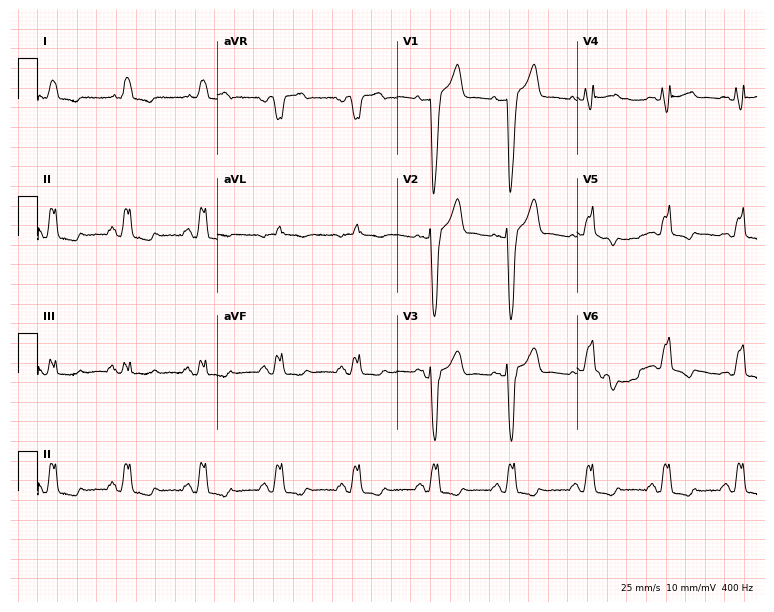
ECG (7.3-second recording at 400 Hz) — a 65-year-old female. Findings include left bundle branch block.